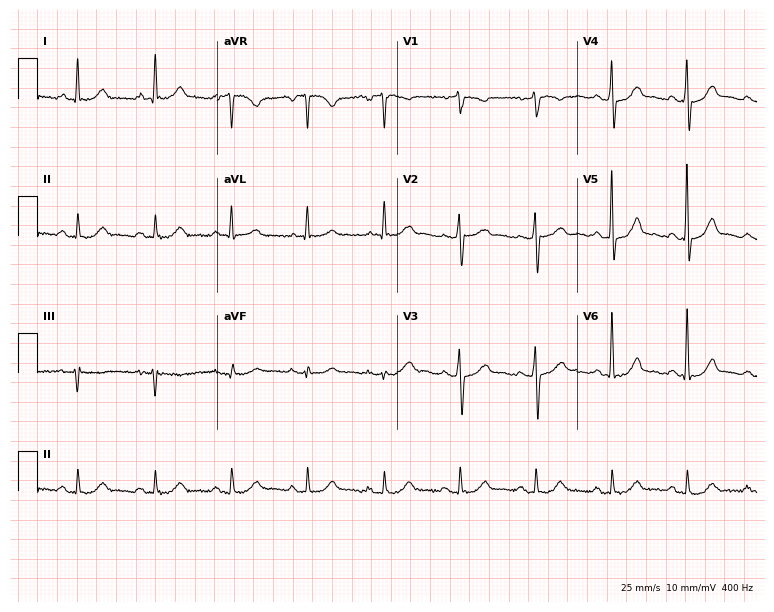
Electrocardiogram (7.3-second recording at 400 Hz), a 61-year-old male patient. Of the six screened findings (first-degree AV block, right bundle branch block, left bundle branch block, sinus bradycardia, atrial fibrillation, sinus tachycardia), none is recorded.